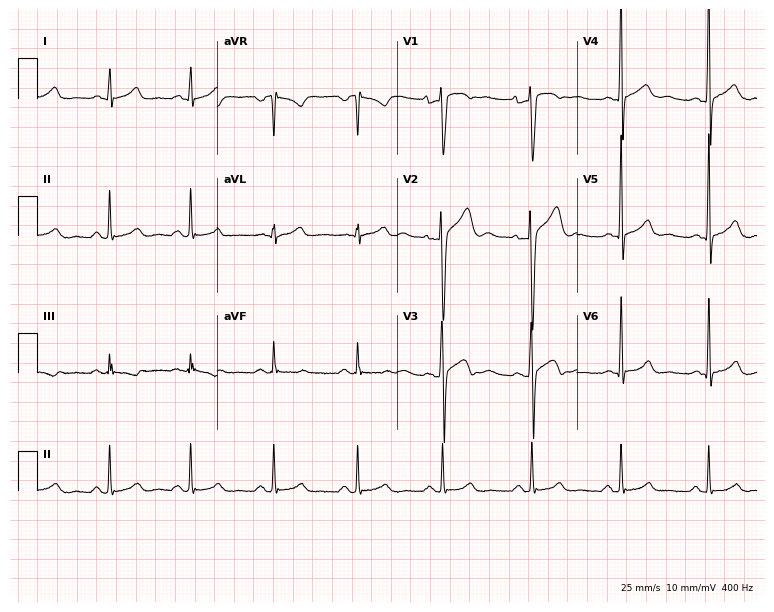
Electrocardiogram, a 40-year-old male patient. Of the six screened findings (first-degree AV block, right bundle branch block, left bundle branch block, sinus bradycardia, atrial fibrillation, sinus tachycardia), none is recorded. Other findings, if any, are not listed.